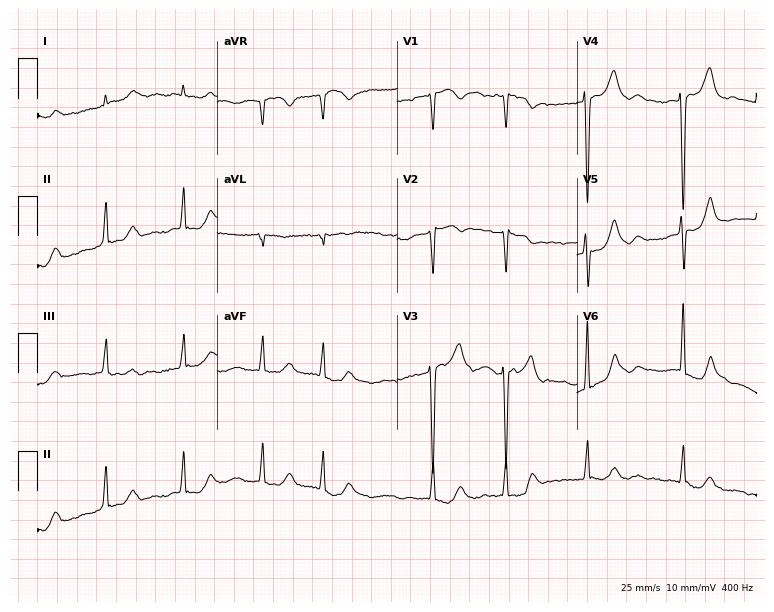
12-lead ECG (7.3-second recording at 400 Hz) from a 54-year-old woman. Findings include atrial fibrillation.